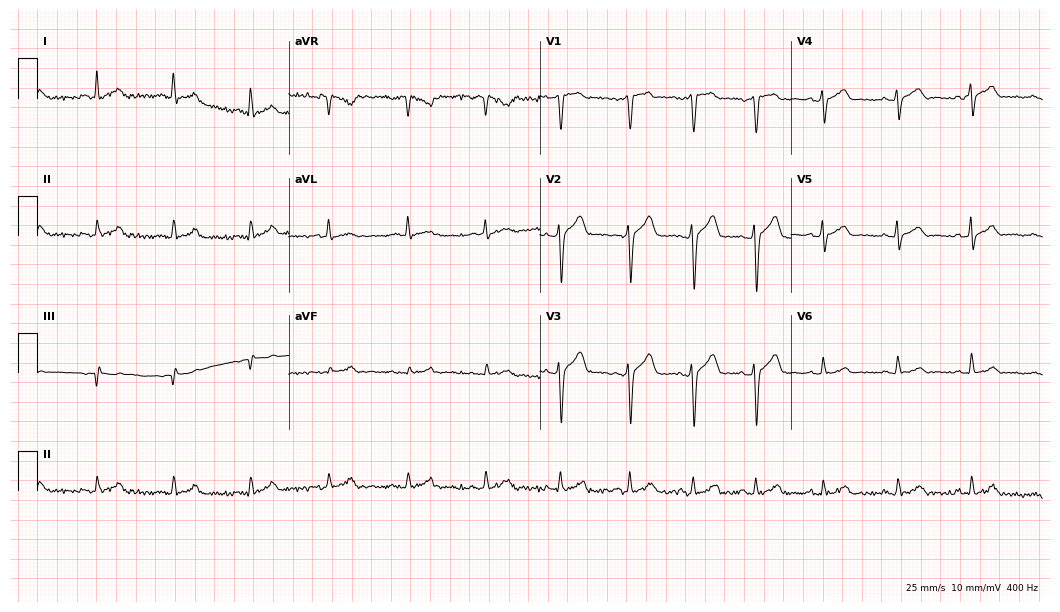
12-lead ECG from a male patient, 42 years old. Labelled as a normal ECG.